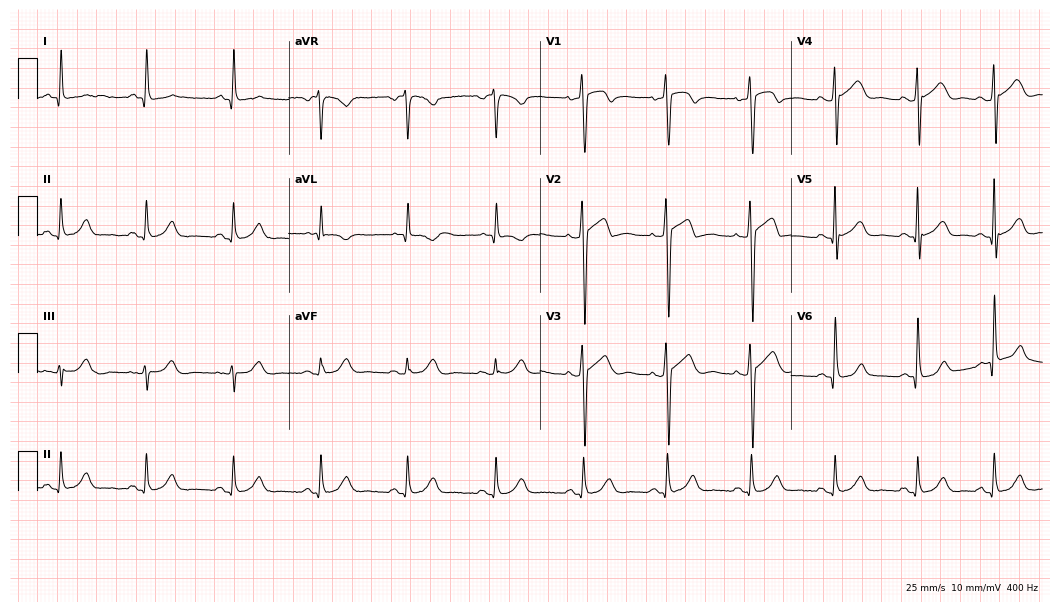
Electrocardiogram (10.2-second recording at 400 Hz), a 71-year-old male patient. Overall reading on record: normal ECG.